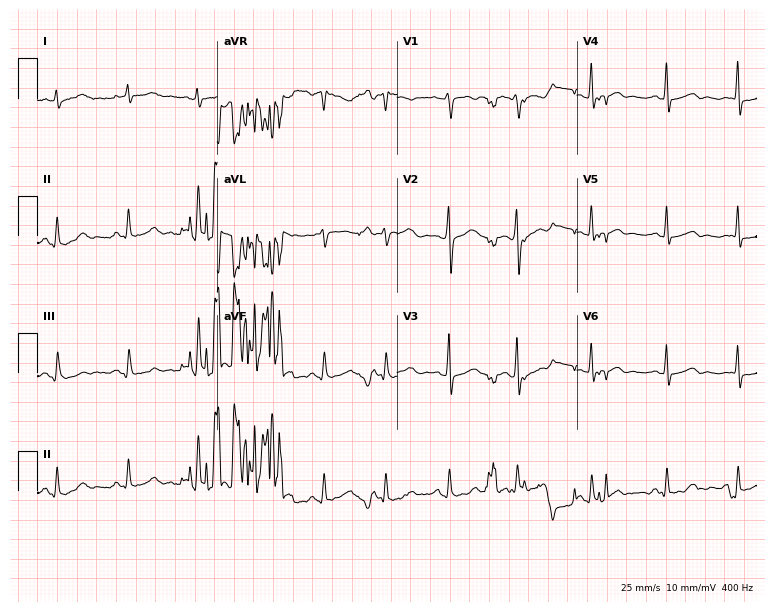
Electrocardiogram, a 39-year-old female patient. Of the six screened findings (first-degree AV block, right bundle branch block (RBBB), left bundle branch block (LBBB), sinus bradycardia, atrial fibrillation (AF), sinus tachycardia), none is recorded. Other findings, if any, are not listed.